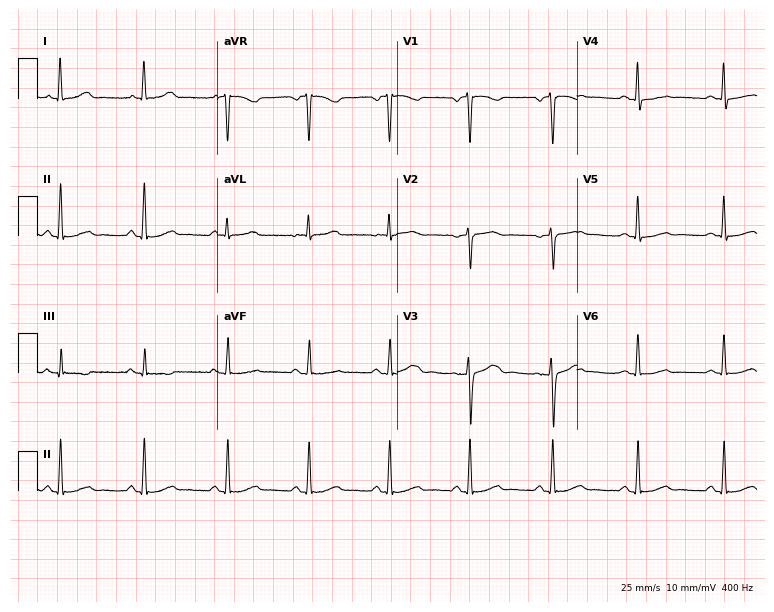
Resting 12-lead electrocardiogram. Patient: a 45-year-old female. None of these six findings is recorded: first-degree AV block, right bundle branch block, left bundle branch block, sinus bradycardia, atrial fibrillation, sinus tachycardia.